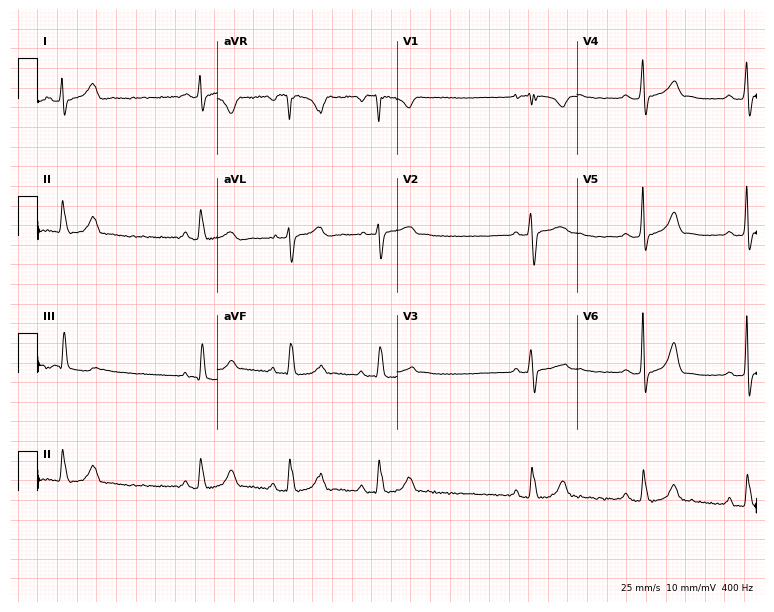
Standard 12-lead ECG recorded from a woman, 18 years old (7.3-second recording at 400 Hz). None of these six findings is recorded: first-degree AV block, right bundle branch block (RBBB), left bundle branch block (LBBB), sinus bradycardia, atrial fibrillation (AF), sinus tachycardia. Only these six findings were labelled.